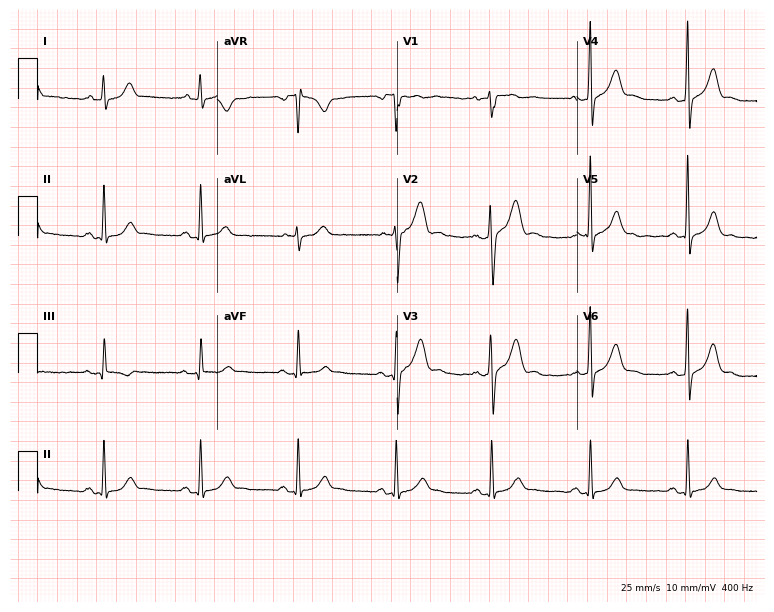
Standard 12-lead ECG recorded from a 43-year-old male (7.3-second recording at 400 Hz). Read as a normal ECG.